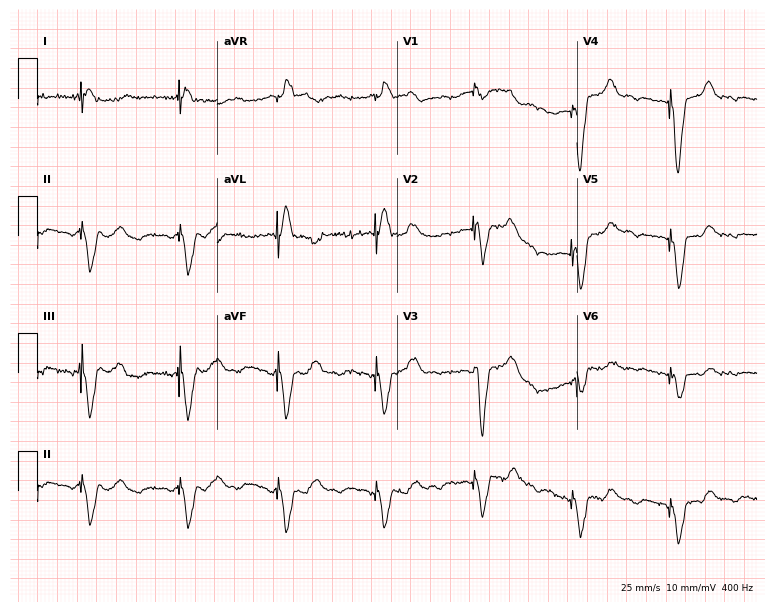
ECG — a man, 85 years old. Screened for six findings — first-degree AV block, right bundle branch block, left bundle branch block, sinus bradycardia, atrial fibrillation, sinus tachycardia — none is recorded.